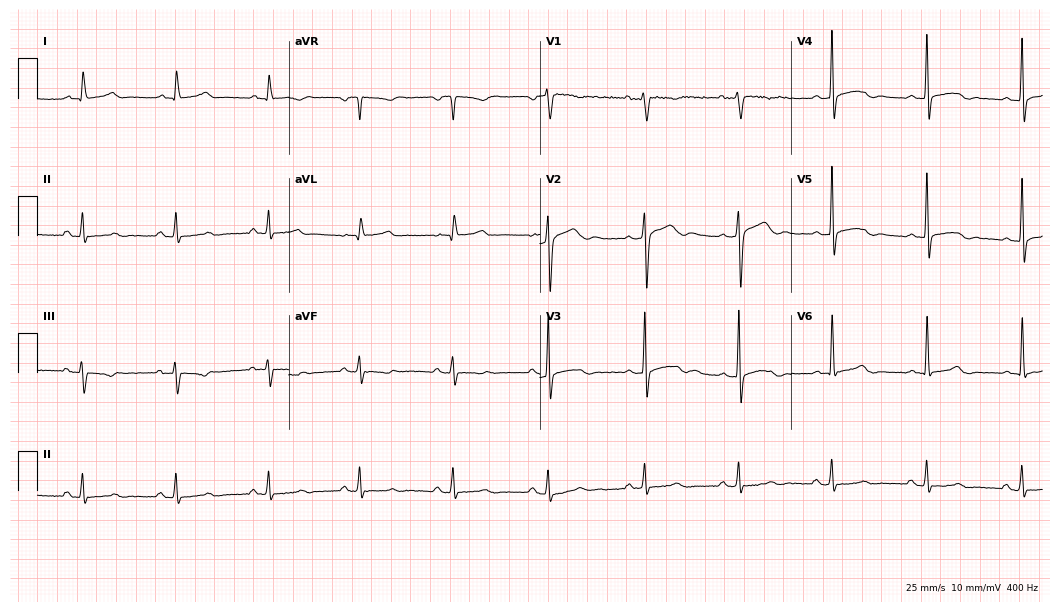
12-lead ECG from a 60-year-old man. No first-degree AV block, right bundle branch block, left bundle branch block, sinus bradycardia, atrial fibrillation or sinus tachycardia recorded for this tracing.